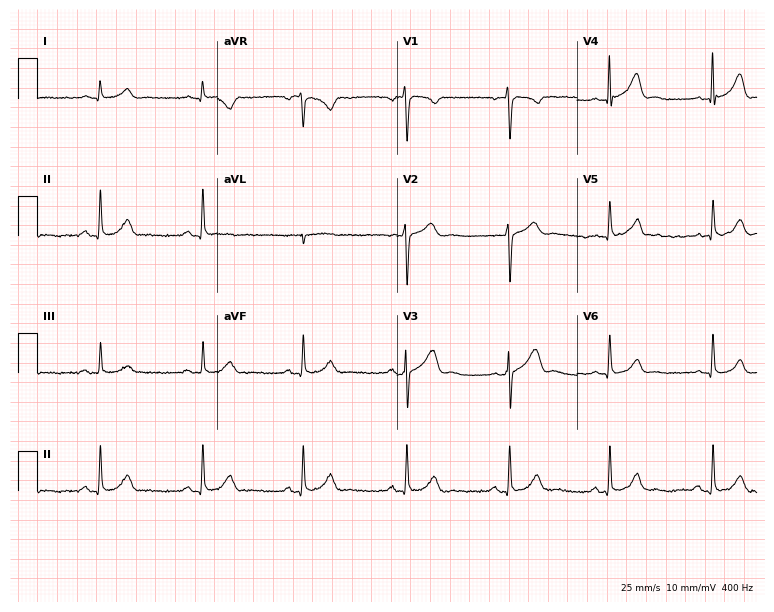
12-lead ECG from a 40-year-old man. Labelled as a normal ECG.